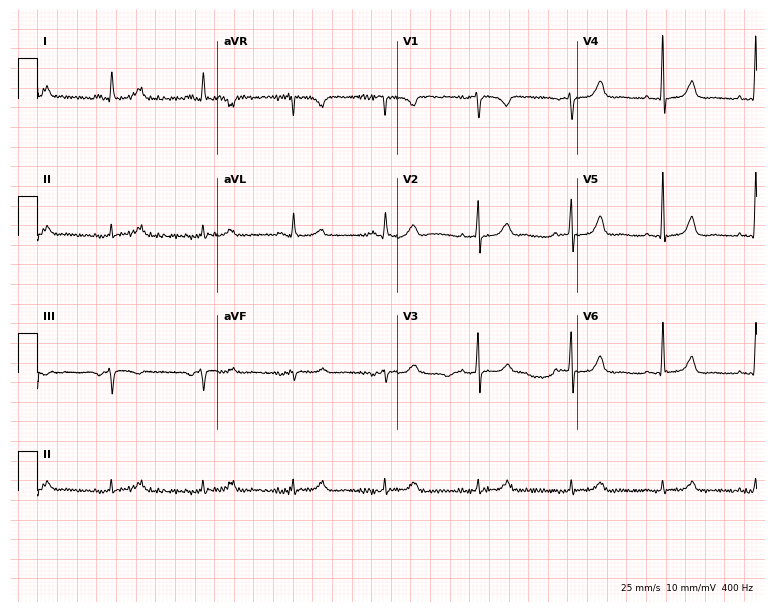
ECG — a 56-year-old female. Labelled as a normal ECG.